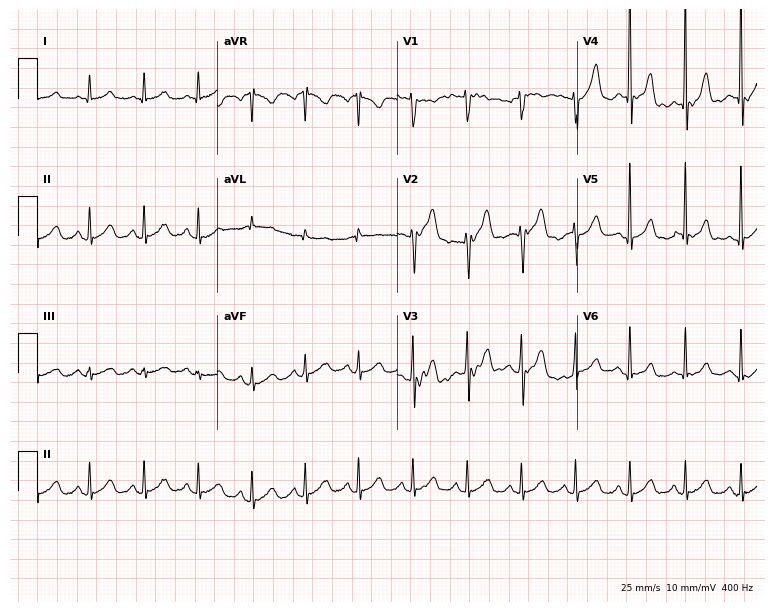
12-lead ECG from a woman, 45 years old. No first-degree AV block, right bundle branch block (RBBB), left bundle branch block (LBBB), sinus bradycardia, atrial fibrillation (AF) or sinus tachycardia recorded for this tracing.